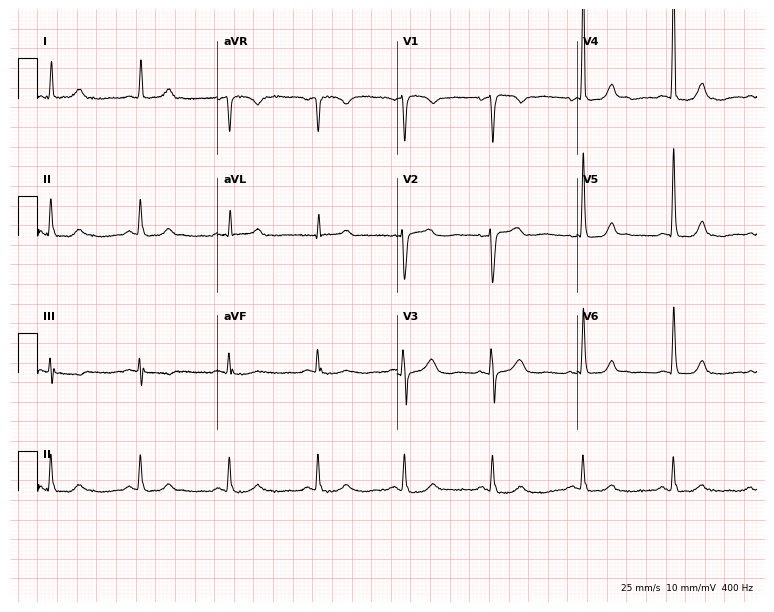
Standard 12-lead ECG recorded from a woman, 84 years old. Read as a normal ECG.